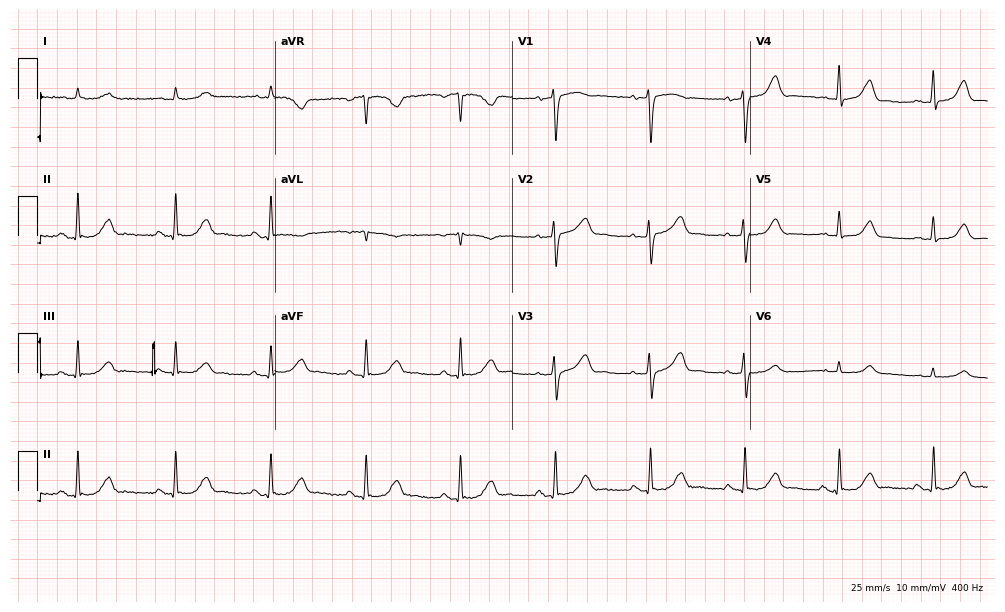
ECG — a 72-year-old male. Screened for six findings — first-degree AV block, right bundle branch block (RBBB), left bundle branch block (LBBB), sinus bradycardia, atrial fibrillation (AF), sinus tachycardia — none is recorded.